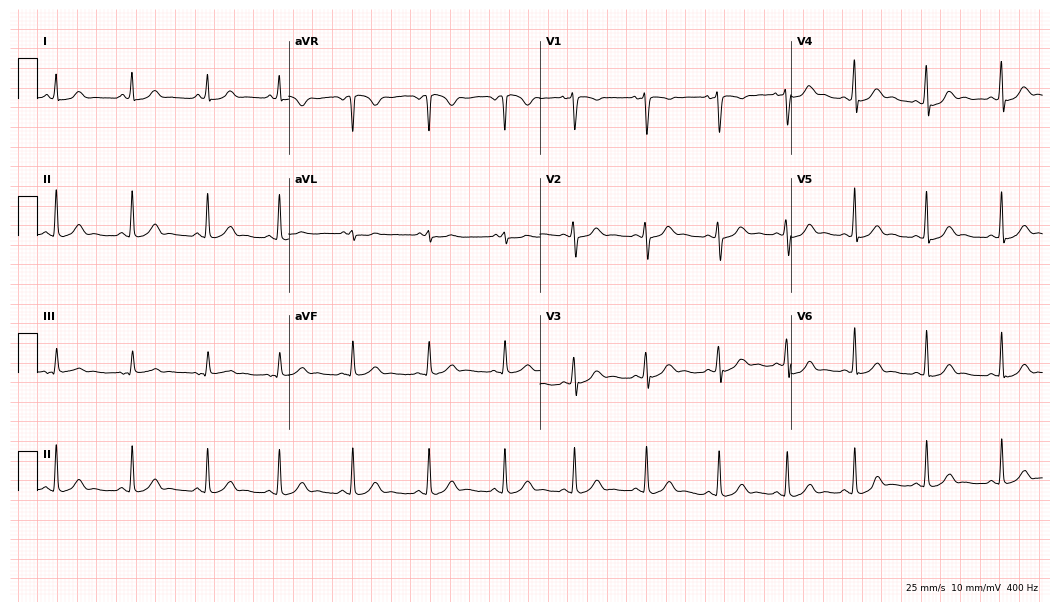
12-lead ECG from a 24-year-old woman. Recorded interpretation: within normal limits.